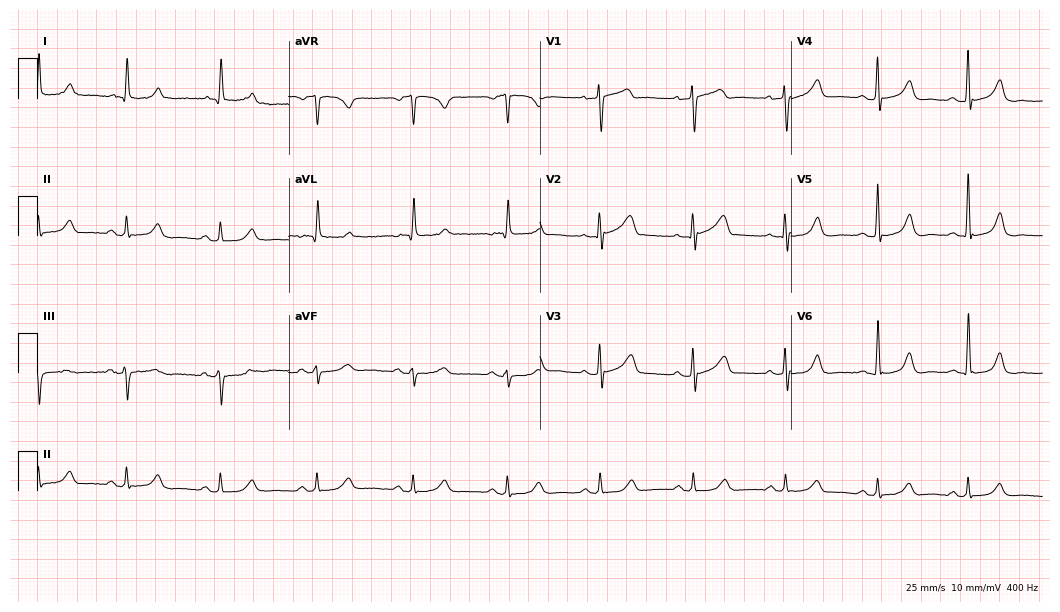
12-lead ECG from a 70-year-old woman (10.2-second recording at 400 Hz). No first-degree AV block, right bundle branch block (RBBB), left bundle branch block (LBBB), sinus bradycardia, atrial fibrillation (AF) or sinus tachycardia recorded for this tracing. Only these six findings were labelled.